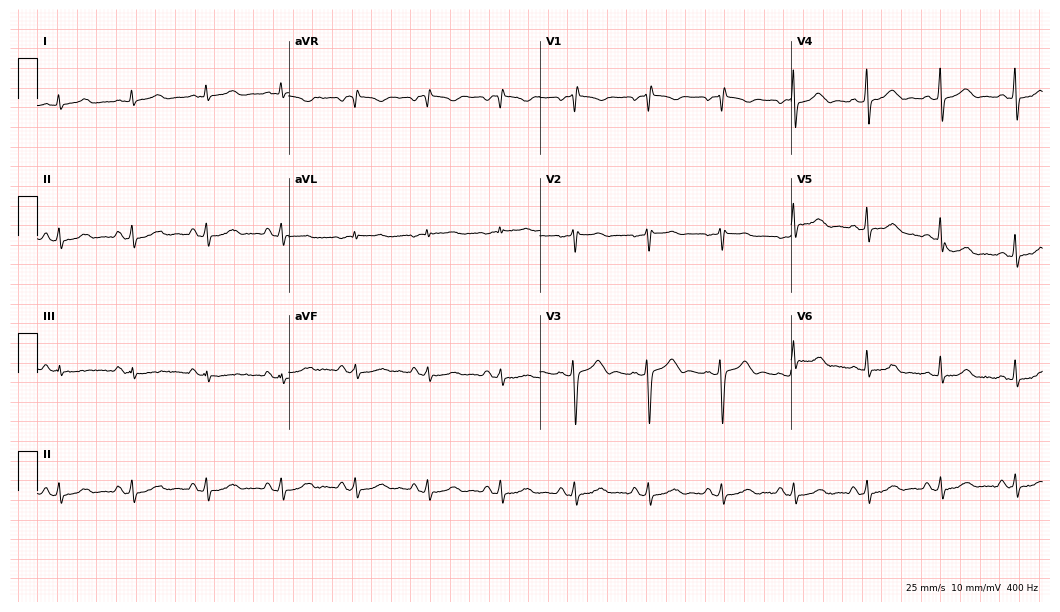
Electrocardiogram (10.2-second recording at 400 Hz), a 43-year-old female. Of the six screened findings (first-degree AV block, right bundle branch block (RBBB), left bundle branch block (LBBB), sinus bradycardia, atrial fibrillation (AF), sinus tachycardia), none is recorded. Only these six findings were labelled.